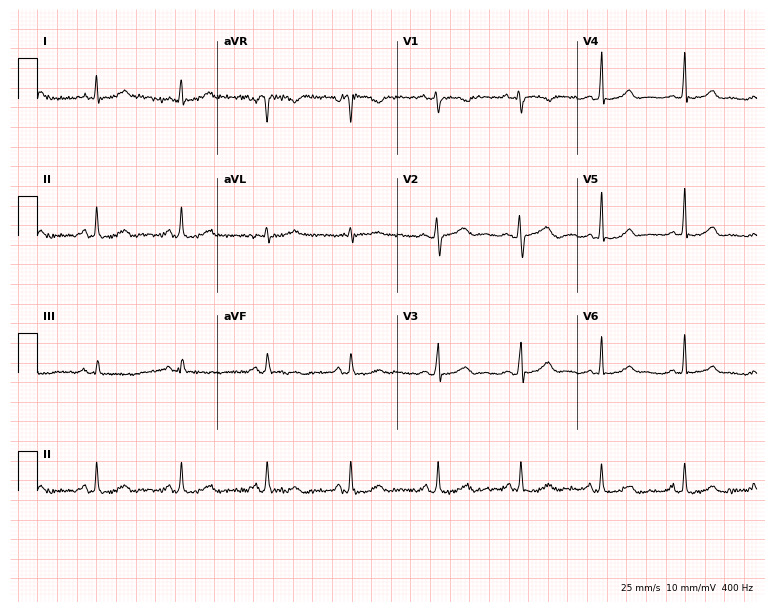
12-lead ECG from a female, 34 years old. Recorded interpretation: within normal limits.